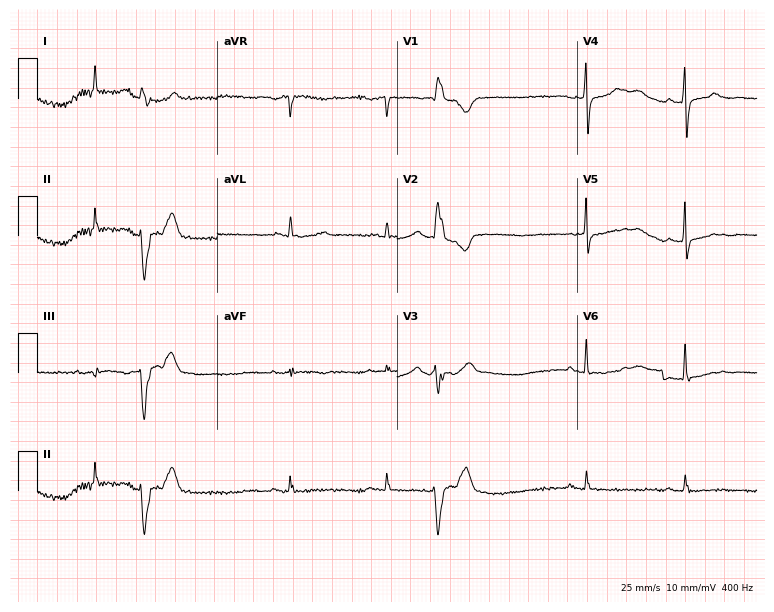
12-lead ECG from a 79-year-old man (7.3-second recording at 400 Hz). No first-degree AV block, right bundle branch block, left bundle branch block, sinus bradycardia, atrial fibrillation or sinus tachycardia recorded for this tracing. Only these six findings were labelled.